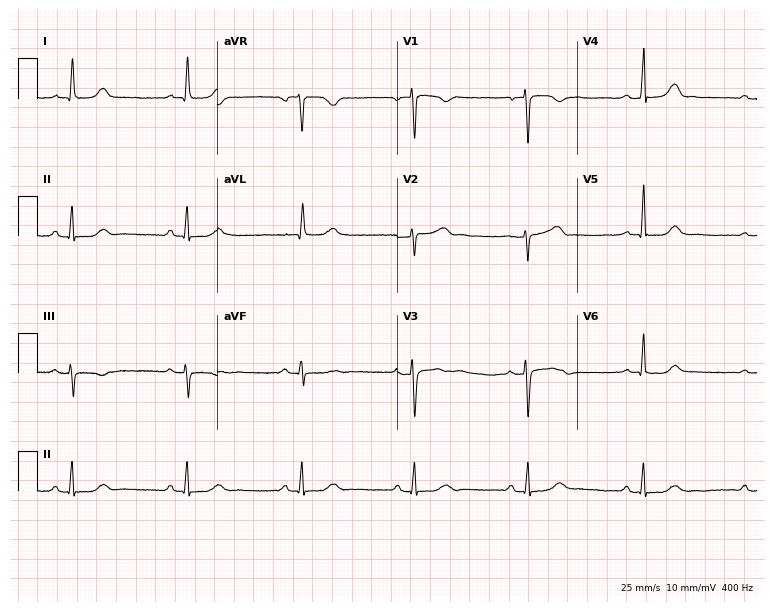
Electrocardiogram, a woman, 51 years old. Overall reading on record: normal ECG.